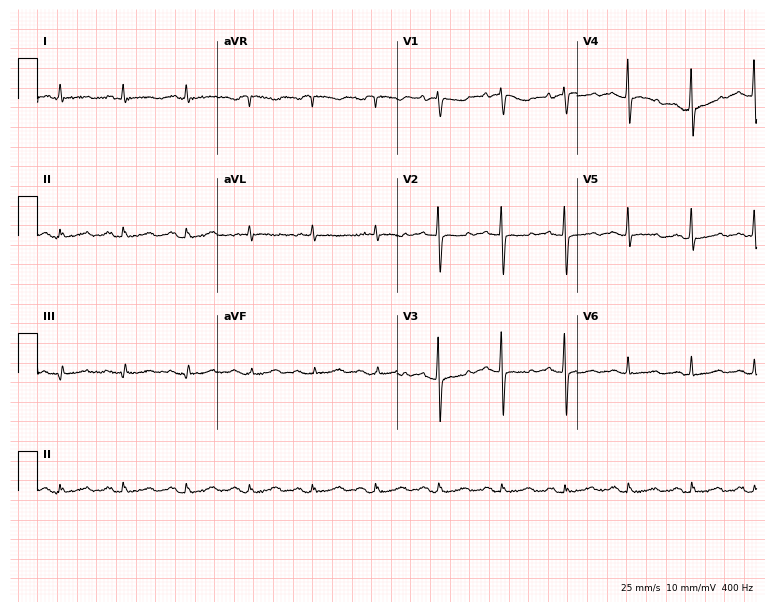
12-lead ECG from an 82-year-old woman. Screened for six findings — first-degree AV block, right bundle branch block, left bundle branch block, sinus bradycardia, atrial fibrillation, sinus tachycardia — none is recorded.